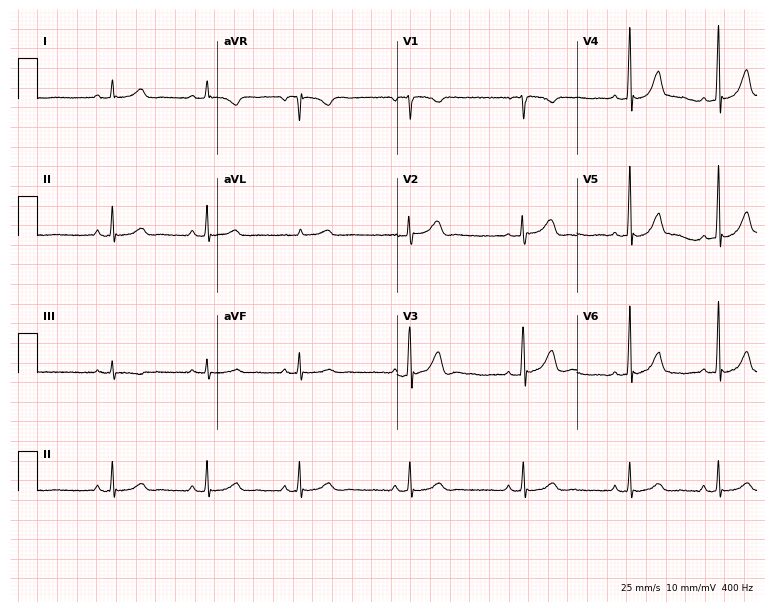
Resting 12-lead electrocardiogram. Patient: a 19-year-old female. None of these six findings is recorded: first-degree AV block, right bundle branch block, left bundle branch block, sinus bradycardia, atrial fibrillation, sinus tachycardia. Only these six findings were labelled.